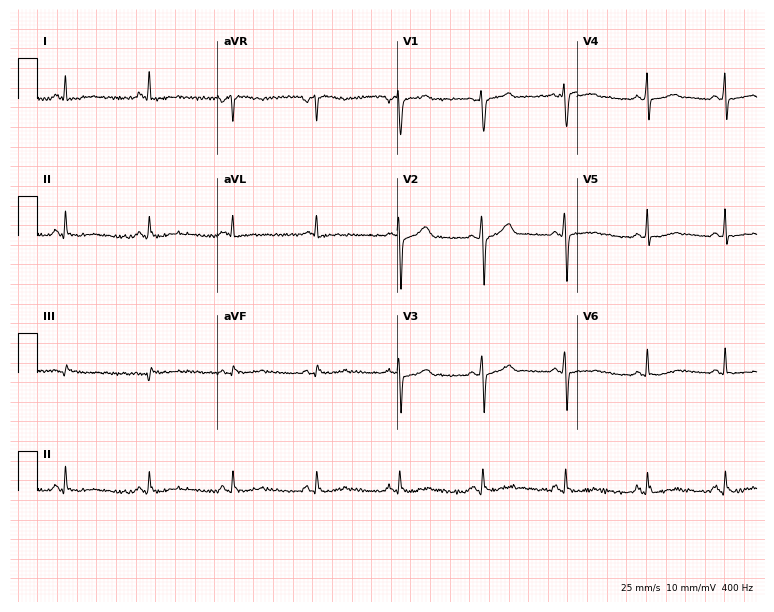
Resting 12-lead electrocardiogram. Patient: a 57-year-old male. None of these six findings is recorded: first-degree AV block, right bundle branch block, left bundle branch block, sinus bradycardia, atrial fibrillation, sinus tachycardia. Other findings, if any, are not listed.